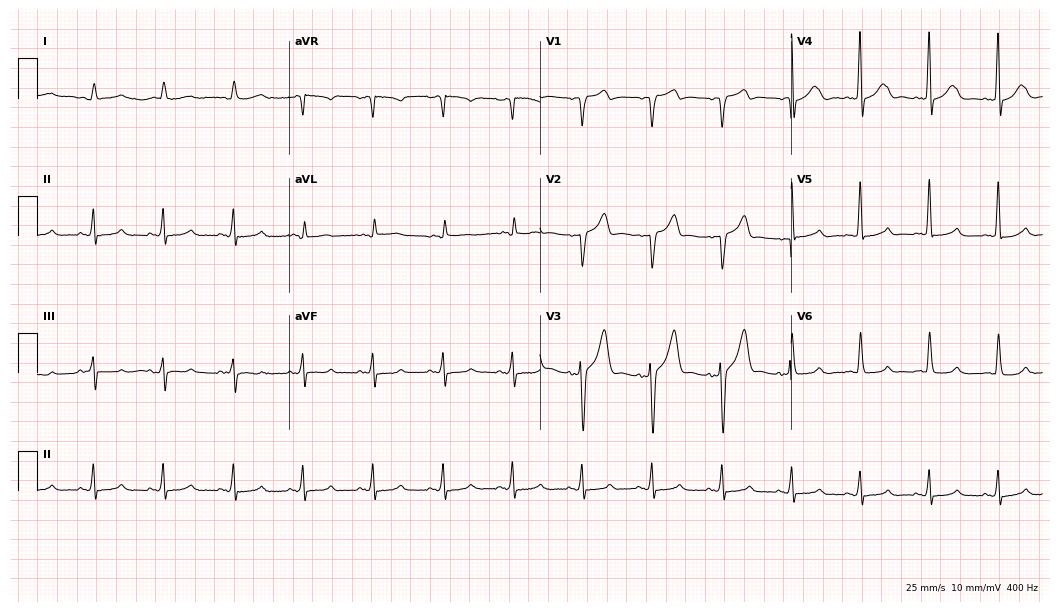
12-lead ECG from a man, 66 years old. No first-degree AV block, right bundle branch block (RBBB), left bundle branch block (LBBB), sinus bradycardia, atrial fibrillation (AF) or sinus tachycardia recorded for this tracing. Findings outside these six are not listed.